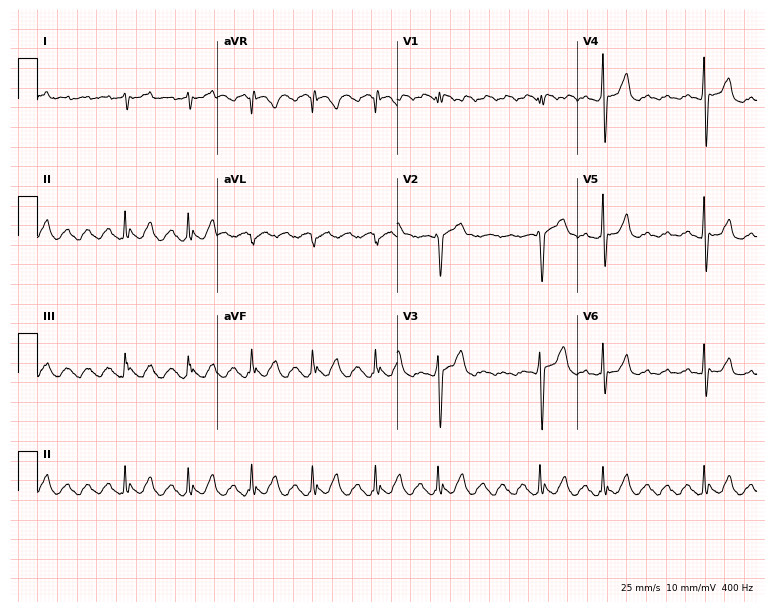
Standard 12-lead ECG recorded from a male patient, 50 years old (7.3-second recording at 400 Hz). The tracing shows atrial fibrillation.